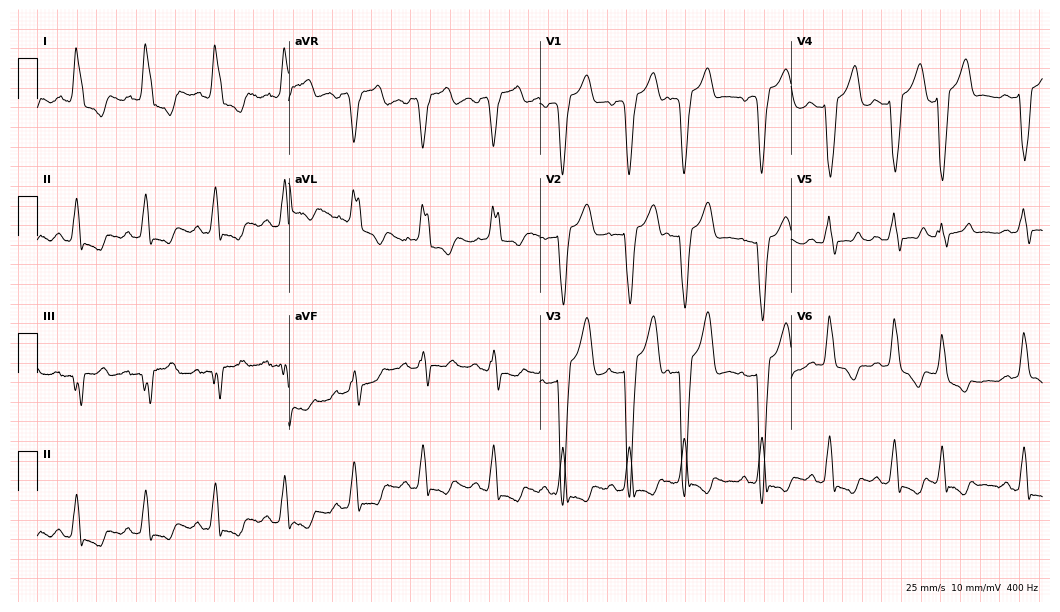
Electrocardiogram (10.2-second recording at 400 Hz), a 58-year-old female patient. Interpretation includes left bundle branch block.